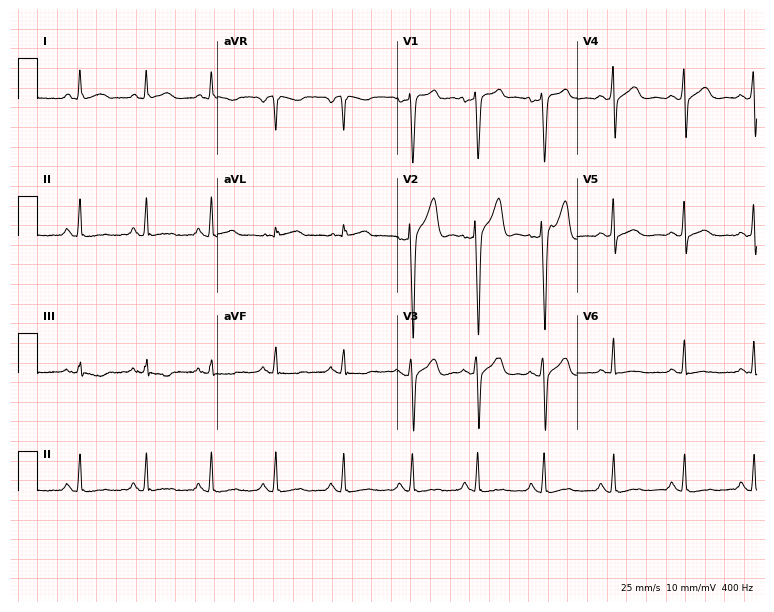
12-lead ECG from a male, 40 years old. Labelled as a normal ECG.